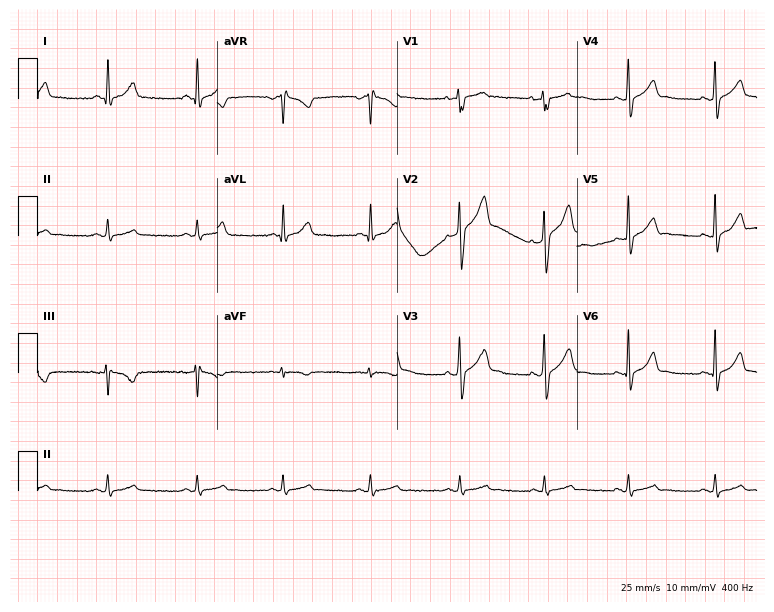
12-lead ECG from a male, 28 years old (7.3-second recording at 400 Hz). No first-degree AV block, right bundle branch block, left bundle branch block, sinus bradycardia, atrial fibrillation or sinus tachycardia recorded for this tracing.